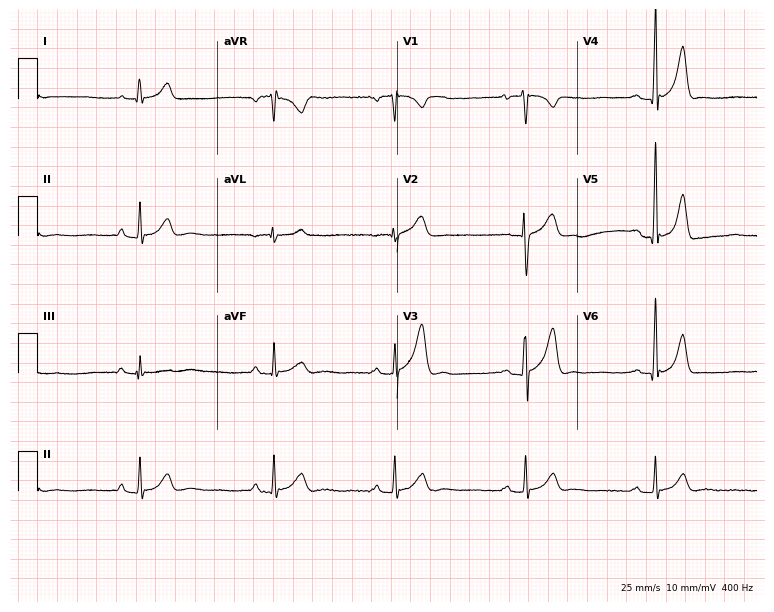
ECG (7.3-second recording at 400 Hz) — a male, 25 years old. Findings include sinus bradycardia (a sinus rate of 50 beats per minute or less).